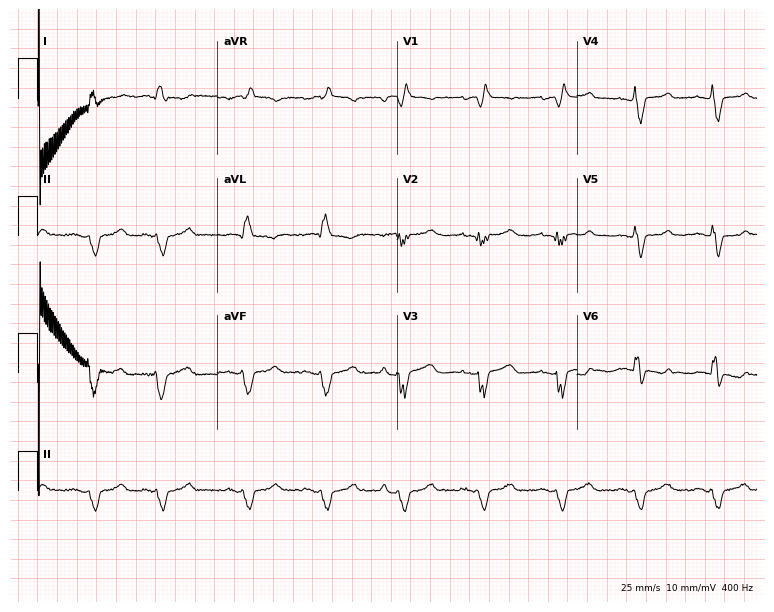
Electrocardiogram (7.3-second recording at 400 Hz), a woman, 60 years old. Interpretation includes right bundle branch block.